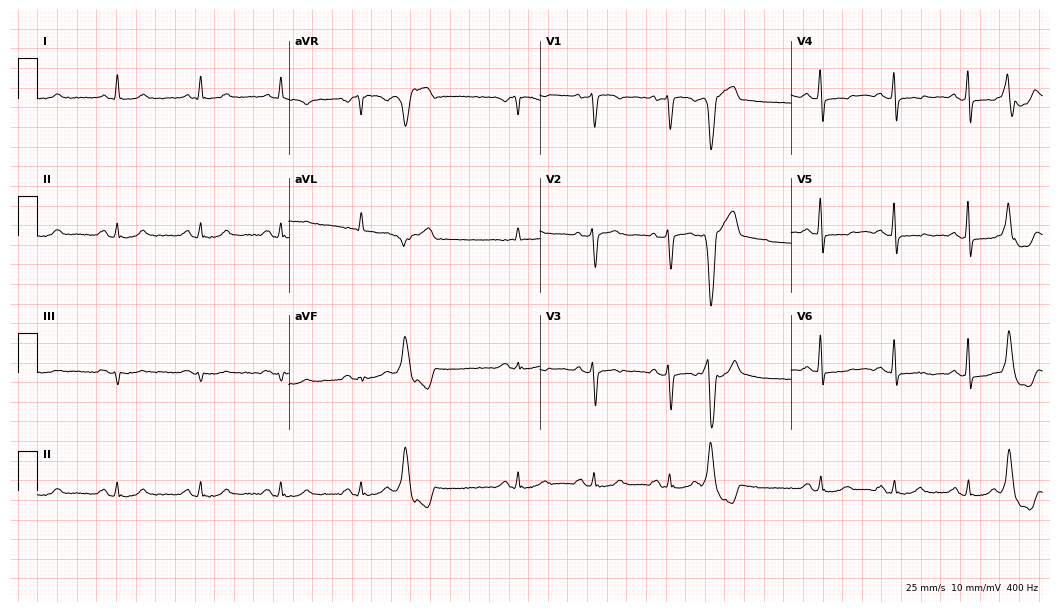
Electrocardiogram, a 62-year-old male. Of the six screened findings (first-degree AV block, right bundle branch block, left bundle branch block, sinus bradycardia, atrial fibrillation, sinus tachycardia), none is recorded.